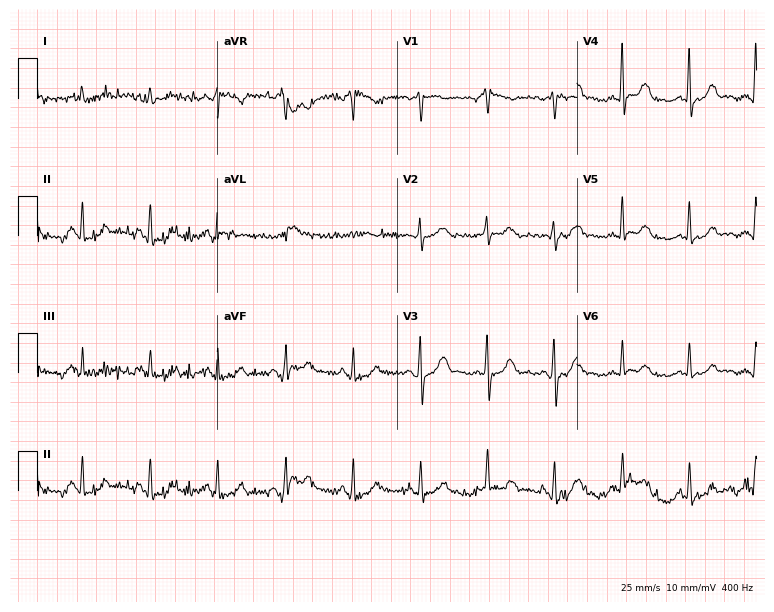
Resting 12-lead electrocardiogram. Patient: a female, 64 years old. Read as a normal ECG.